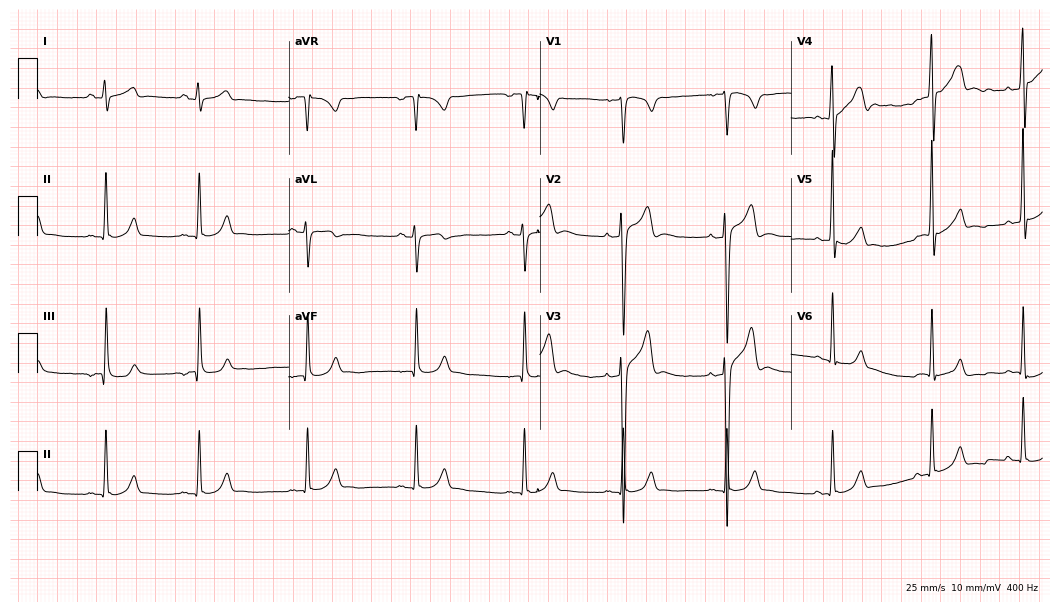
Standard 12-lead ECG recorded from a male, 24 years old (10.2-second recording at 400 Hz). Read as a normal ECG.